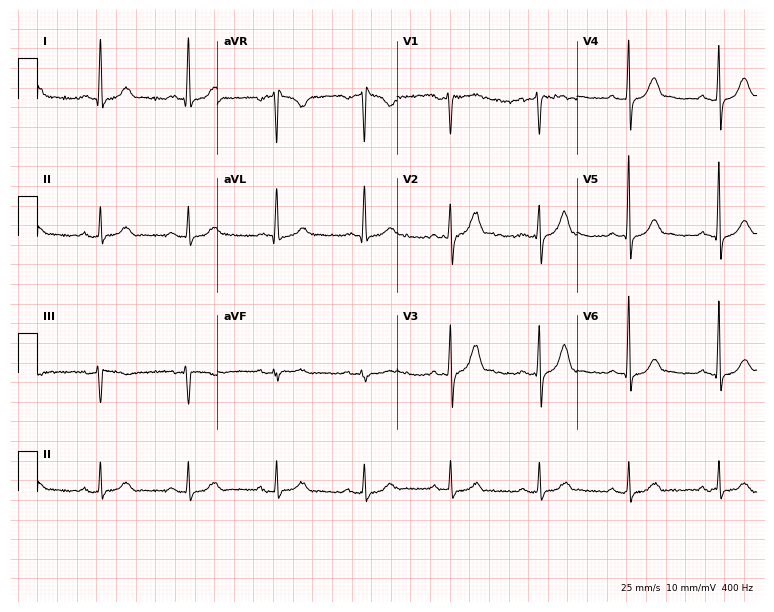
Standard 12-lead ECG recorded from a 61-year-old man. None of these six findings is recorded: first-degree AV block, right bundle branch block, left bundle branch block, sinus bradycardia, atrial fibrillation, sinus tachycardia. Findings outside these six are not listed.